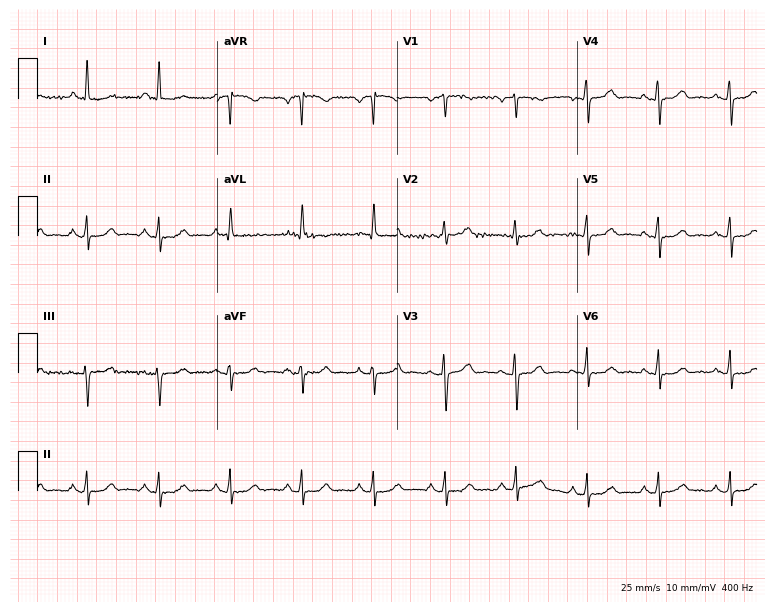
12-lead ECG from a 73-year-old female. Recorded interpretation: within normal limits.